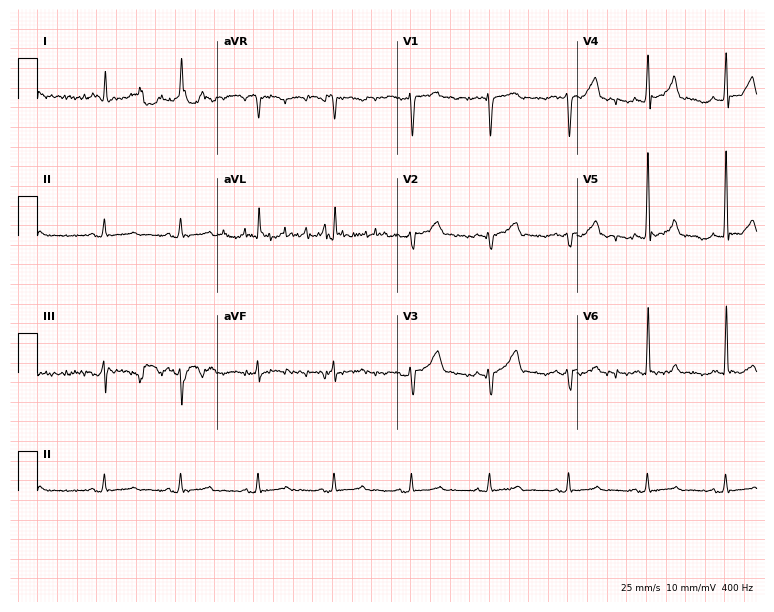
12-lead ECG from an 82-year-old male patient. Labelled as a normal ECG.